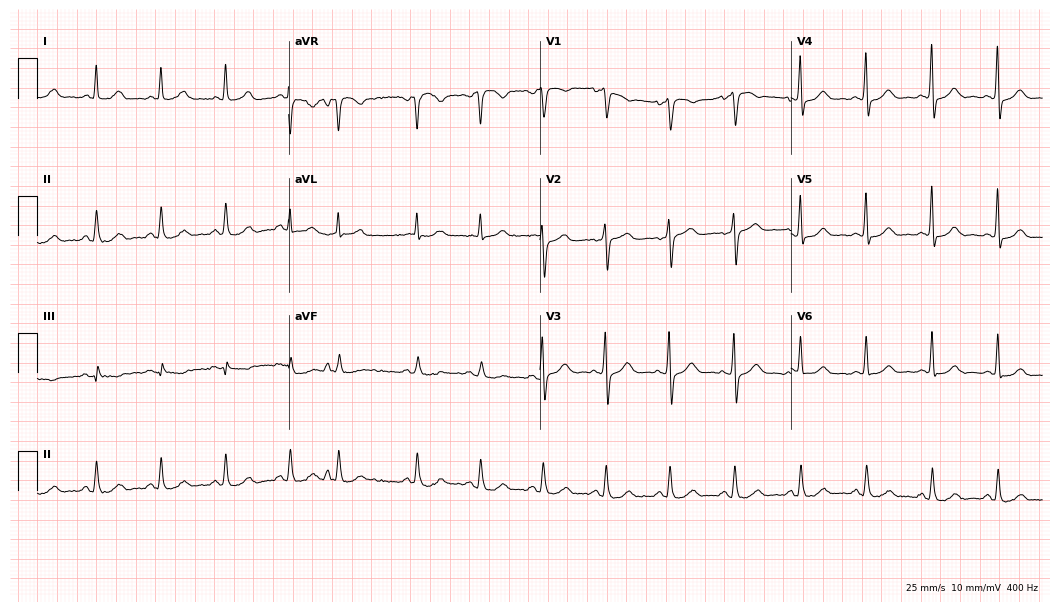
Resting 12-lead electrocardiogram. Patient: a 67-year-old female. None of these six findings is recorded: first-degree AV block, right bundle branch block, left bundle branch block, sinus bradycardia, atrial fibrillation, sinus tachycardia.